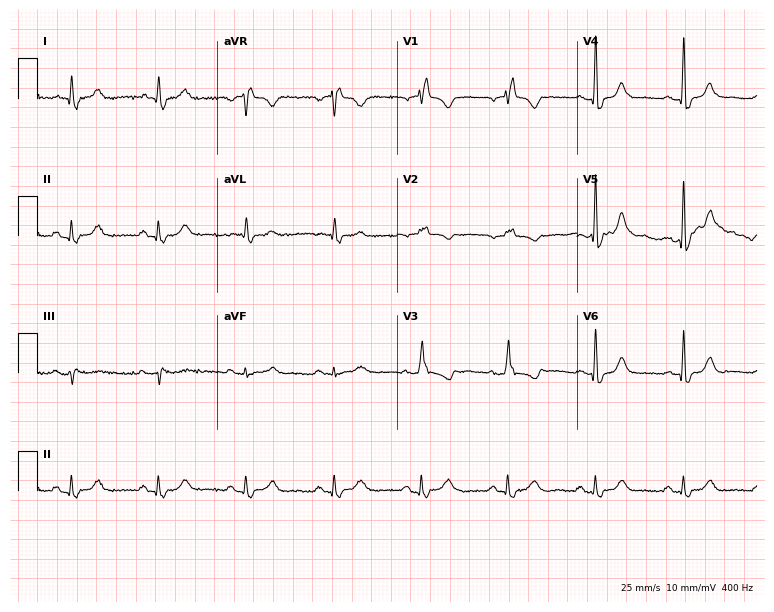
12-lead ECG from a female, 74 years old. Findings include right bundle branch block.